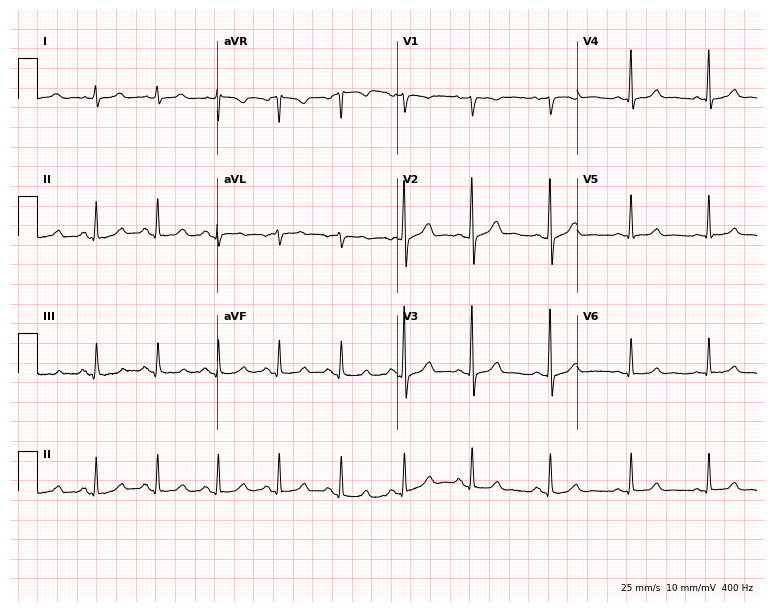
12-lead ECG from a 36-year-old female. Recorded interpretation: within normal limits.